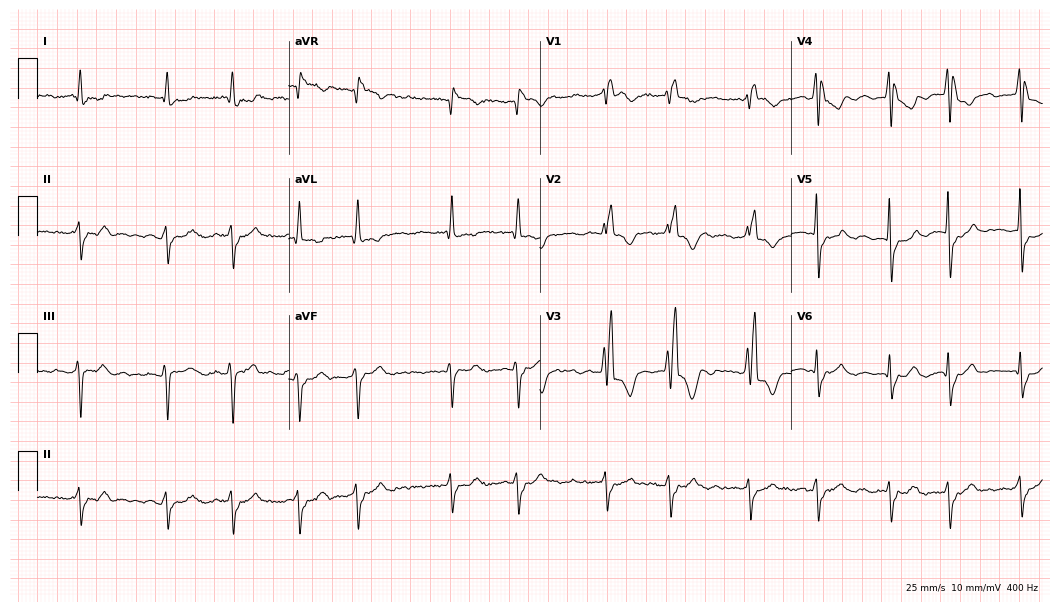
ECG (10.2-second recording at 400 Hz) — a female, 82 years old. Findings include right bundle branch block, atrial fibrillation.